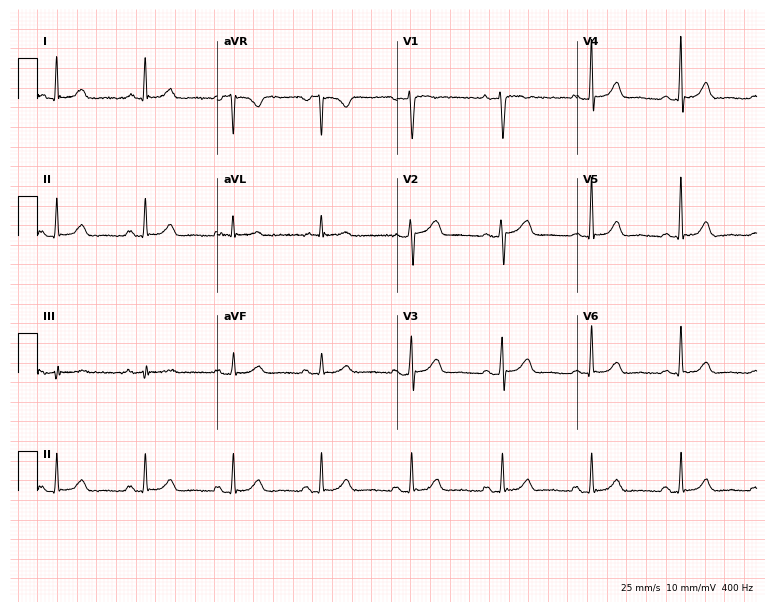
Electrocardiogram (7.3-second recording at 400 Hz), a female patient, 53 years old. Overall reading on record: normal ECG.